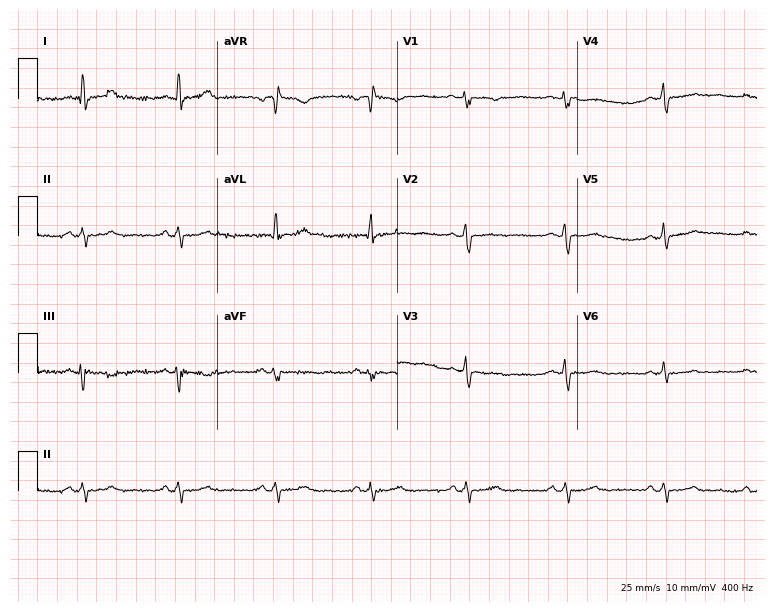
12-lead ECG from a 39-year-old woman (7.3-second recording at 400 Hz). No first-degree AV block, right bundle branch block (RBBB), left bundle branch block (LBBB), sinus bradycardia, atrial fibrillation (AF) or sinus tachycardia recorded for this tracing.